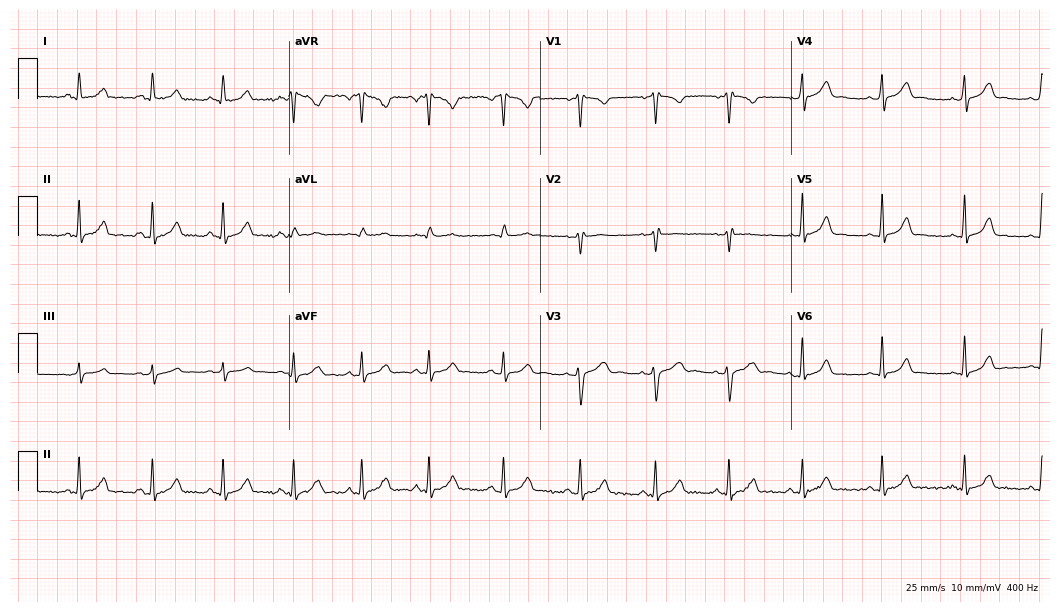
Standard 12-lead ECG recorded from a female, 21 years old. Read as a normal ECG.